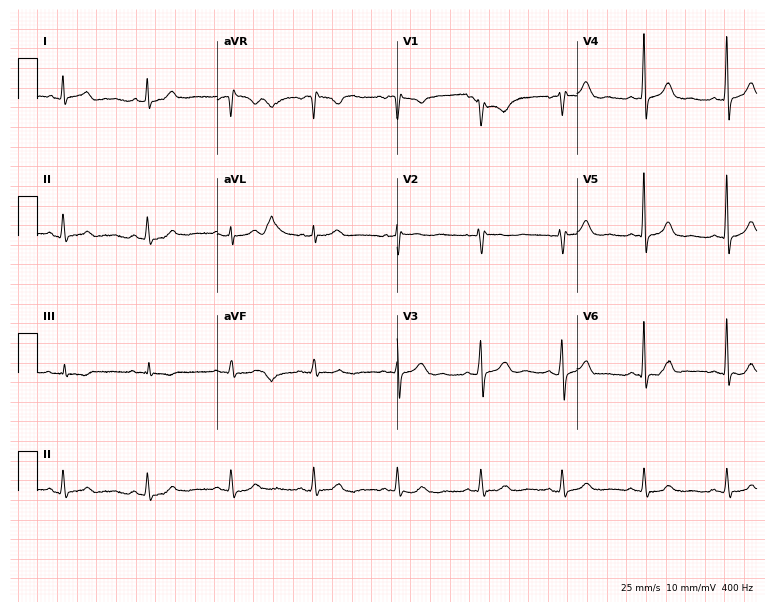
Electrocardiogram, a 45-year-old female patient. Of the six screened findings (first-degree AV block, right bundle branch block (RBBB), left bundle branch block (LBBB), sinus bradycardia, atrial fibrillation (AF), sinus tachycardia), none is recorded.